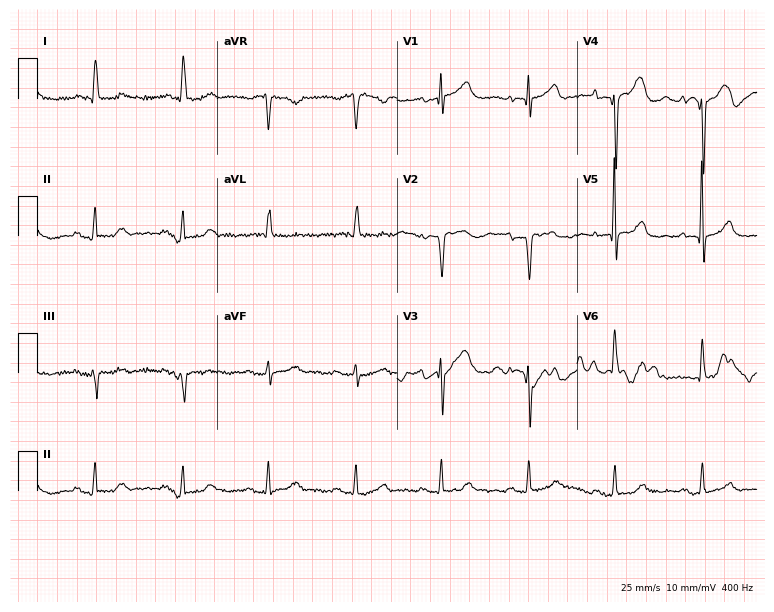
12-lead ECG from a woman, 76 years old. No first-degree AV block, right bundle branch block (RBBB), left bundle branch block (LBBB), sinus bradycardia, atrial fibrillation (AF) or sinus tachycardia recorded for this tracing. Findings outside these six are not listed.